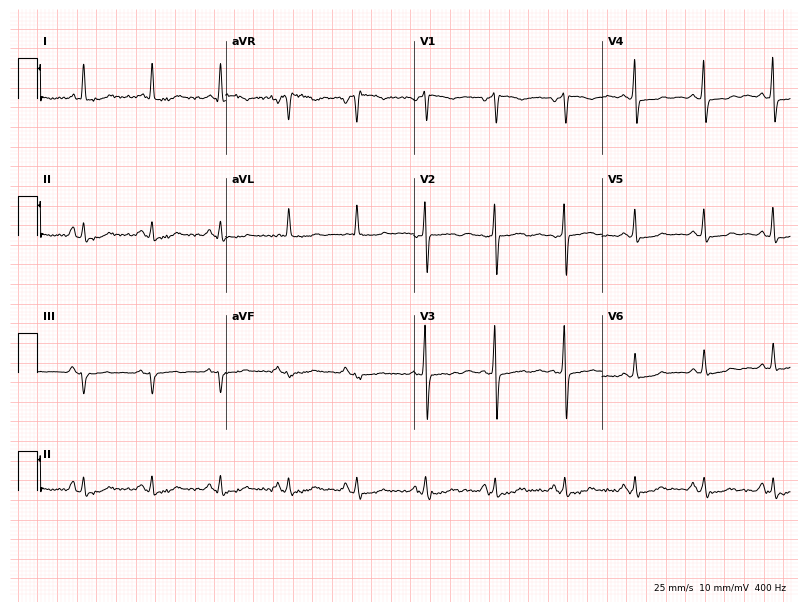
ECG (7.7-second recording at 400 Hz) — a female patient, 57 years old. Screened for six findings — first-degree AV block, right bundle branch block, left bundle branch block, sinus bradycardia, atrial fibrillation, sinus tachycardia — none is recorded. Other findings, if any, are not listed.